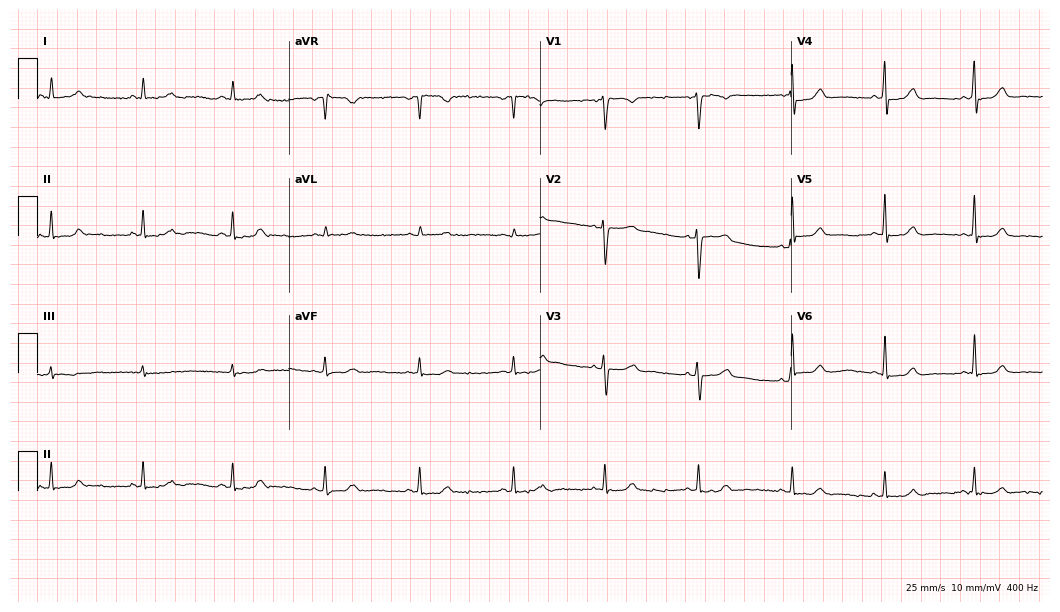
Electrocardiogram (10.2-second recording at 400 Hz), a 45-year-old female patient. Of the six screened findings (first-degree AV block, right bundle branch block, left bundle branch block, sinus bradycardia, atrial fibrillation, sinus tachycardia), none is recorded. Findings outside these six are not listed.